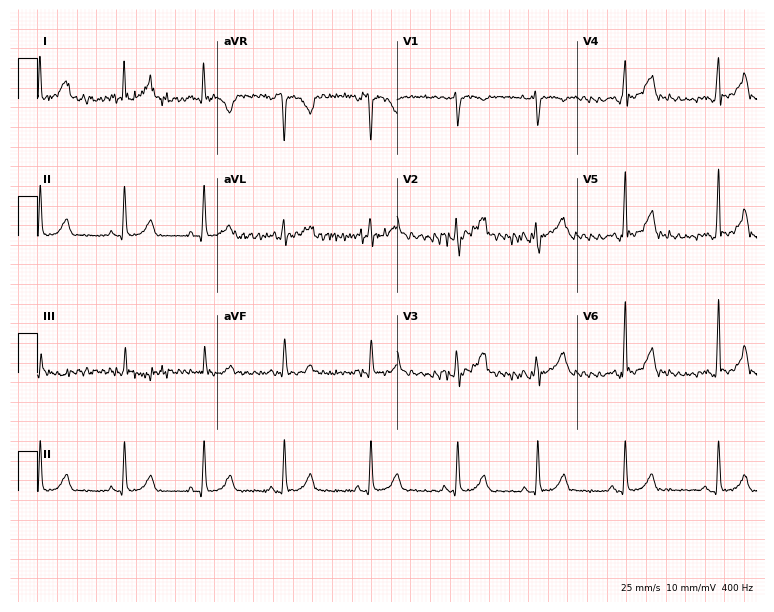
Electrocardiogram, a 28-year-old female. Of the six screened findings (first-degree AV block, right bundle branch block (RBBB), left bundle branch block (LBBB), sinus bradycardia, atrial fibrillation (AF), sinus tachycardia), none is recorded.